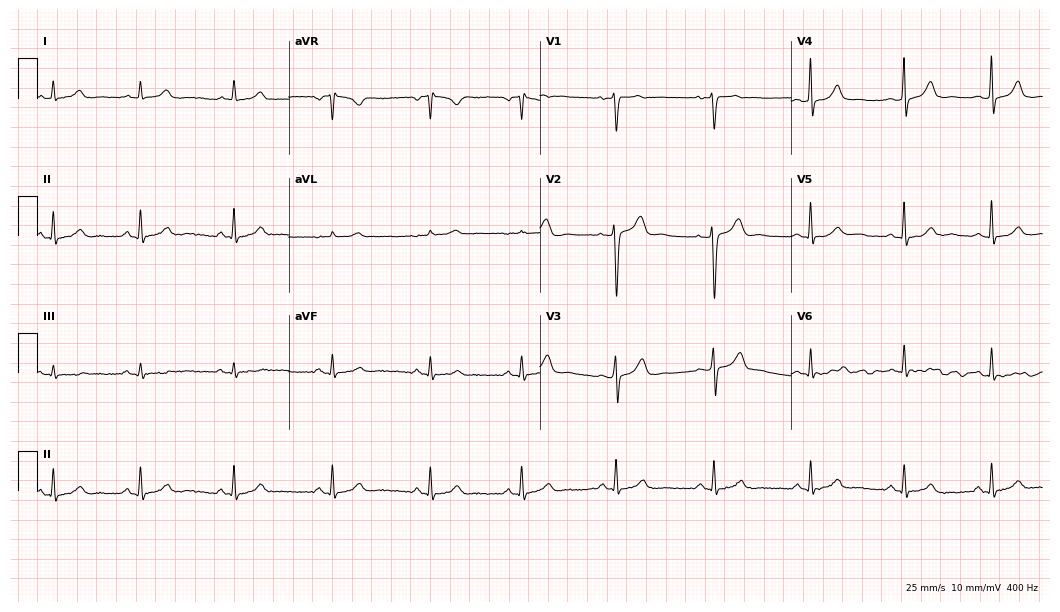
Standard 12-lead ECG recorded from a 34-year-old female (10.2-second recording at 400 Hz). None of these six findings is recorded: first-degree AV block, right bundle branch block, left bundle branch block, sinus bradycardia, atrial fibrillation, sinus tachycardia.